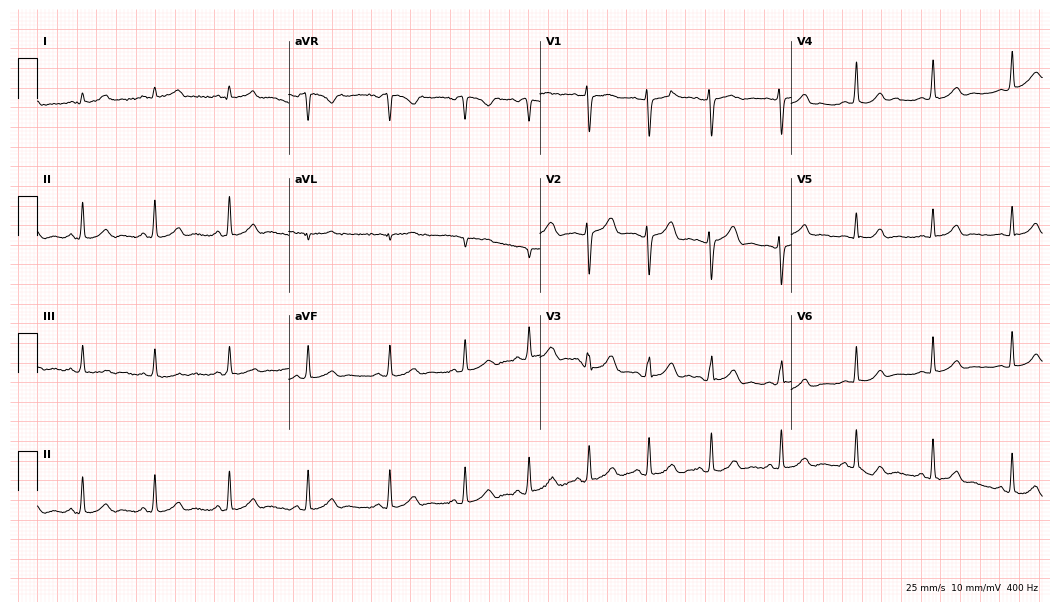
Electrocardiogram (10.2-second recording at 400 Hz), a woman, 22 years old. Of the six screened findings (first-degree AV block, right bundle branch block (RBBB), left bundle branch block (LBBB), sinus bradycardia, atrial fibrillation (AF), sinus tachycardia), none is recorded.